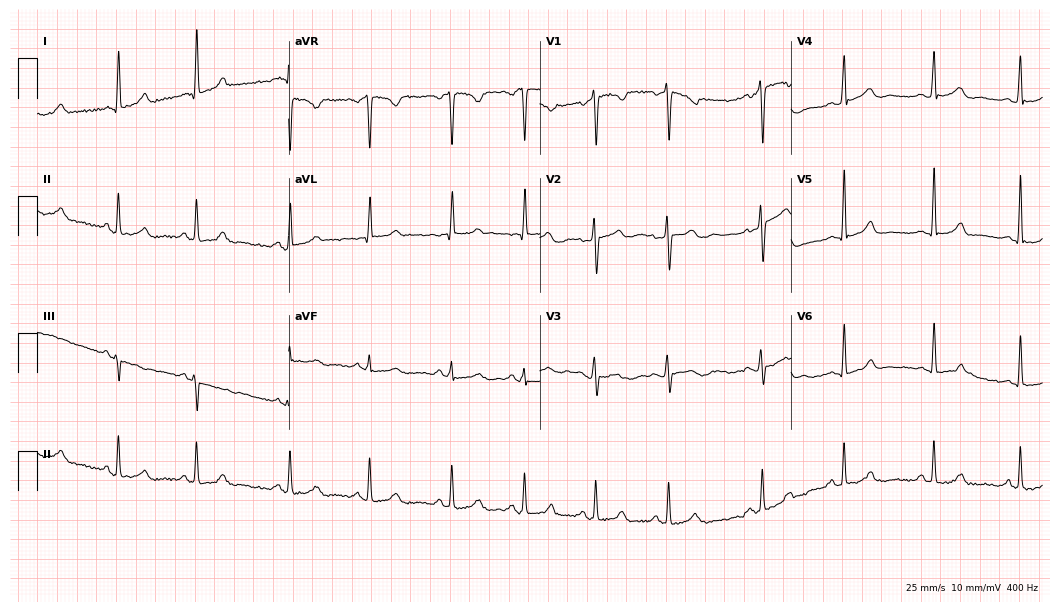
Electrocardiogram (10.2-second recording at 400 Hz), a female, 31 years old. Overall reading on record: normal ECG.